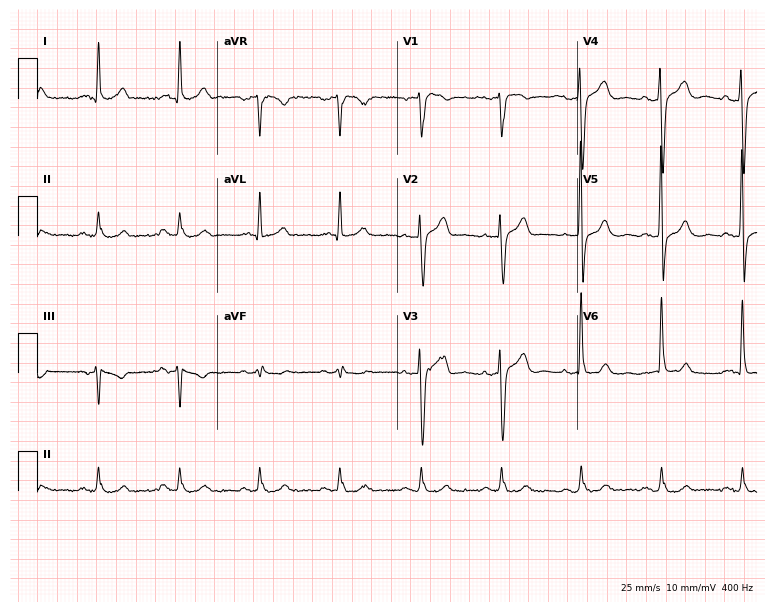
12-lead ECG (7.3-second recording at 400 Hz) from a 60-year-old man. Labelled as a normal ECG.